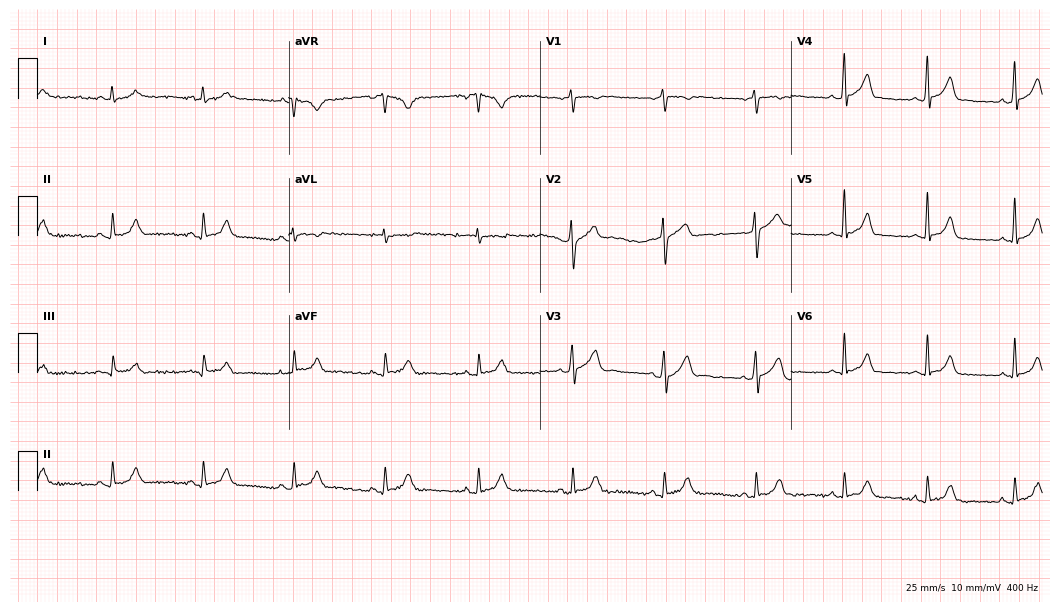
Resting 12-lead electrocardiogram (10.2-second recording at 400 Hz). Patient: a 38-year-old man. Read as a normal ECG.